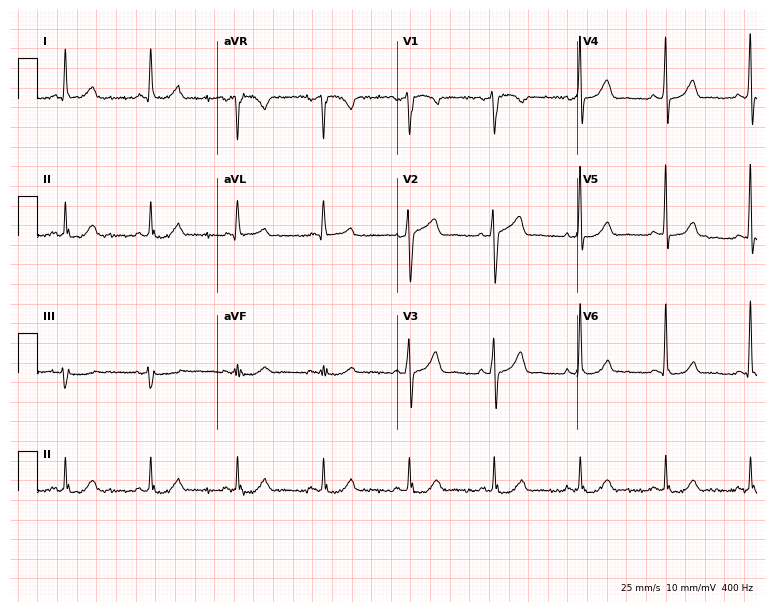
12-lead ECG from a male patient, 57 years old. Recorded interpretation: within normal limits.